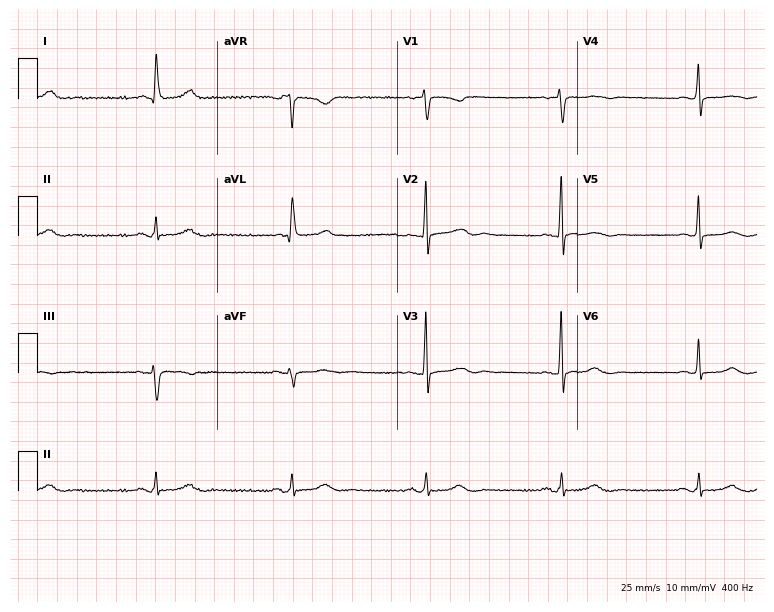
Standard 12-lead ECG recorded from a female patient, 66 years old (7.3-second recording at 400 Hz). The tracing shows sinus bradycardia (a sinus rate of 50 beats per minute or less).